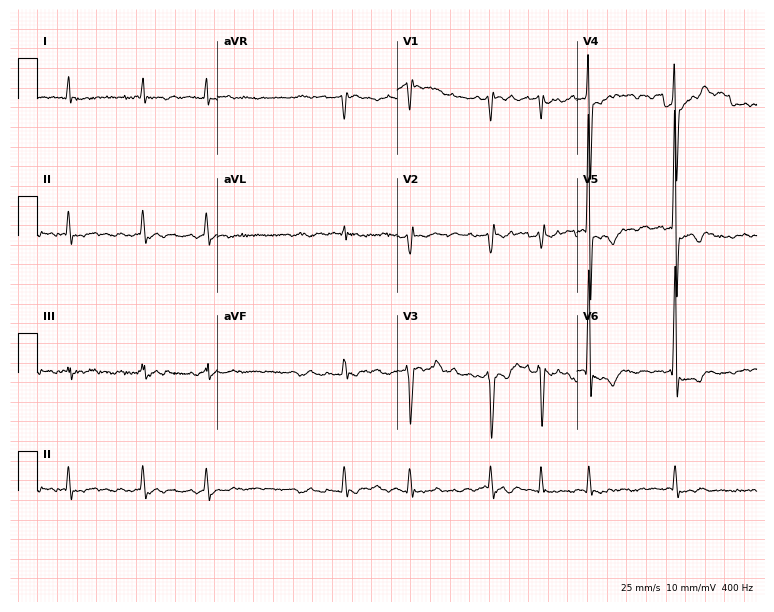
Electrocardiogram, a man, 66 years old. Interpretation includes atrial fibrillation.